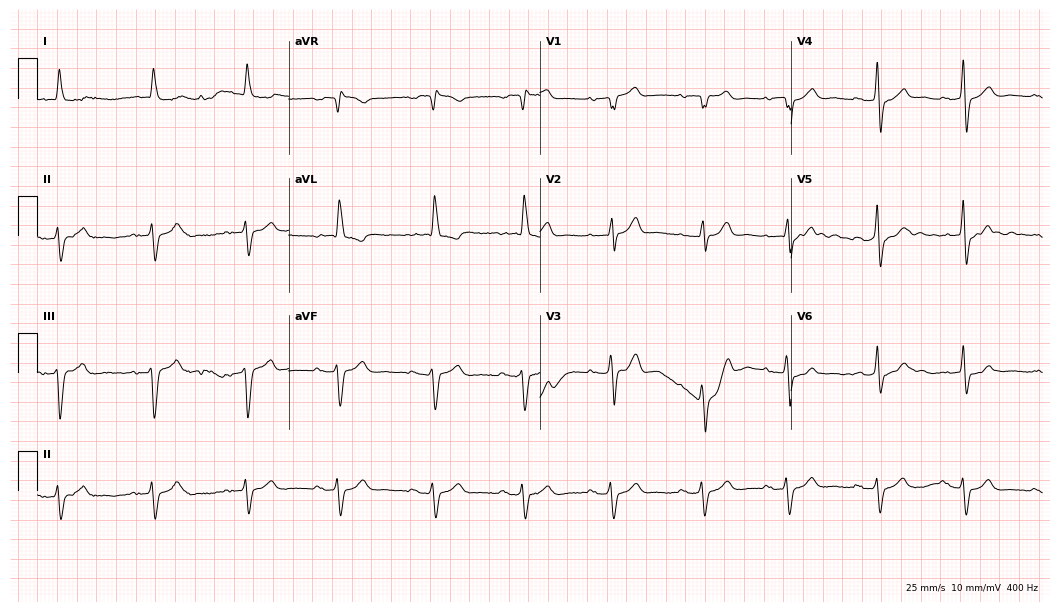
12-lead ECG from an 85-year-old woman (10.2-second recording at 400 Hz). Shows left bundle branch block.